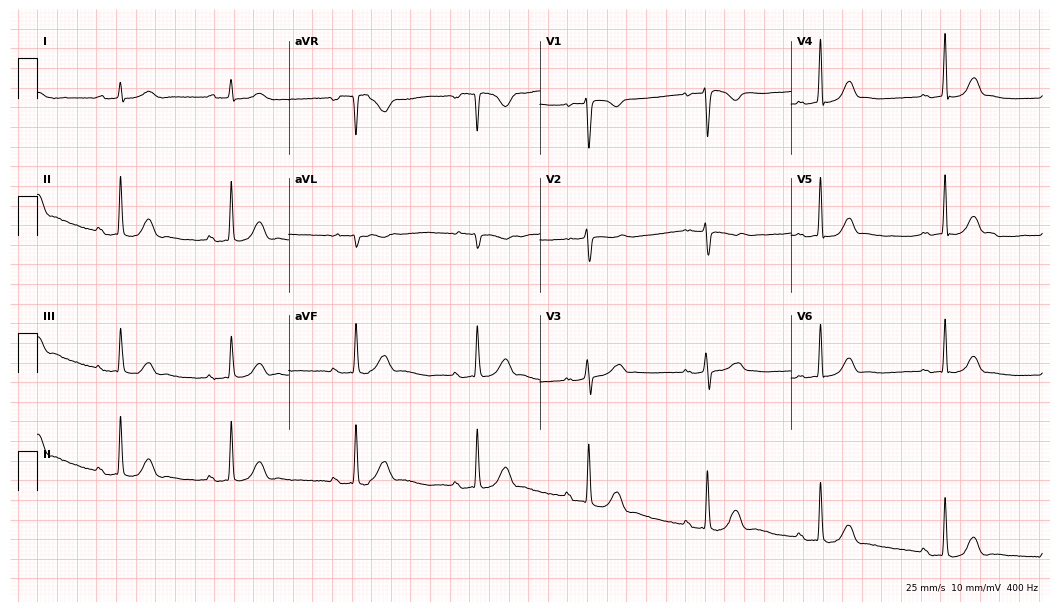
Standard 12-lead ECG recorded from a 19-year-old female (10.2-second recording at 400 Hz). Read as a normal ECG.